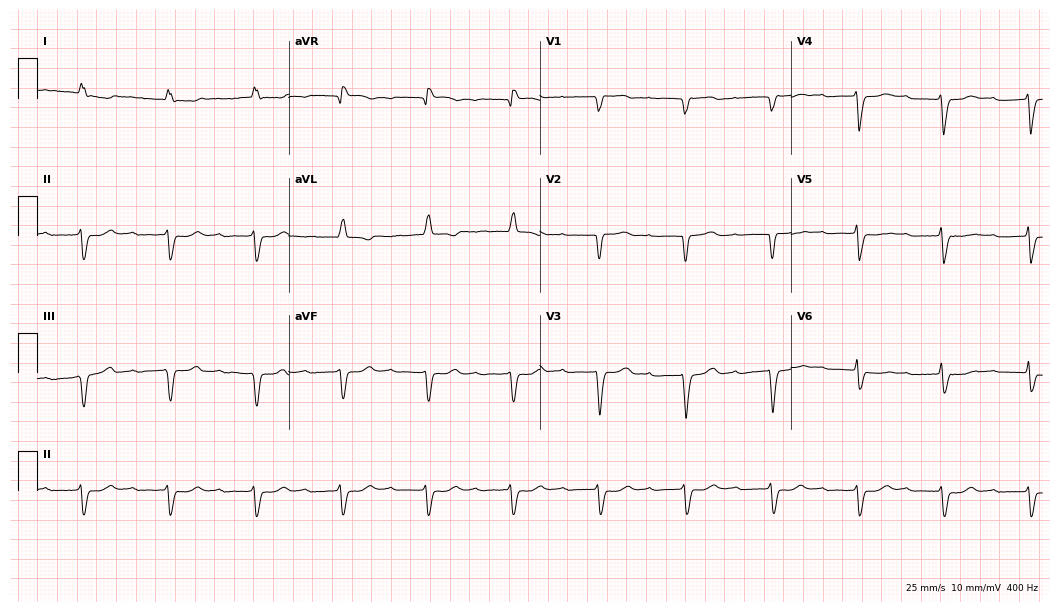
12-lead ECG from a woman, 85 years old (10.2-second recording at 400 Hz). No first-degree AV block, right bundle branch block, left bundle branch block, sinus bradycardia, atrial fibrillation or sinus tachycardia recorded for this tracing.